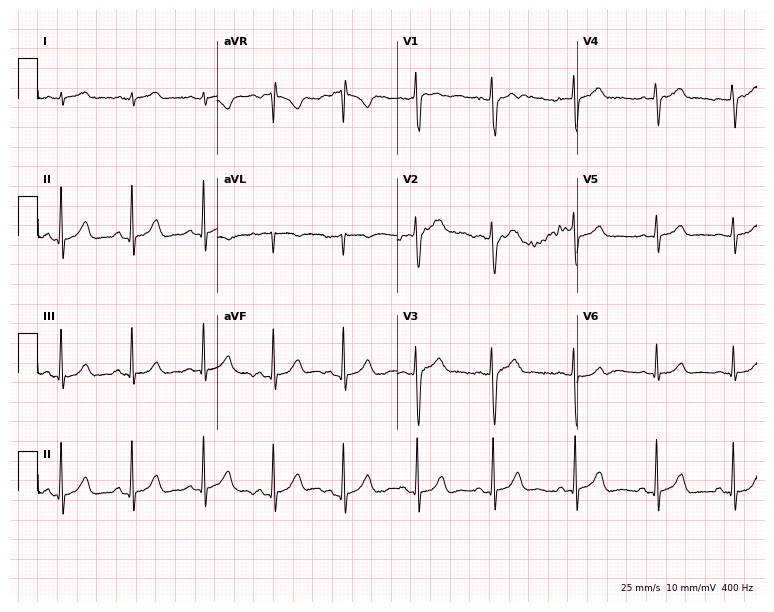
Standard 12-lead ECG recorded from a 23-year-old male (7.3-second recording at 400 Hz). None of these six findings is recorded: first-degree AV block, right bundle branch block, left bundle branch block, sinus bradycardia, atrial fibrillation, sinus tachycardia. Other findings, if any, are not listed.